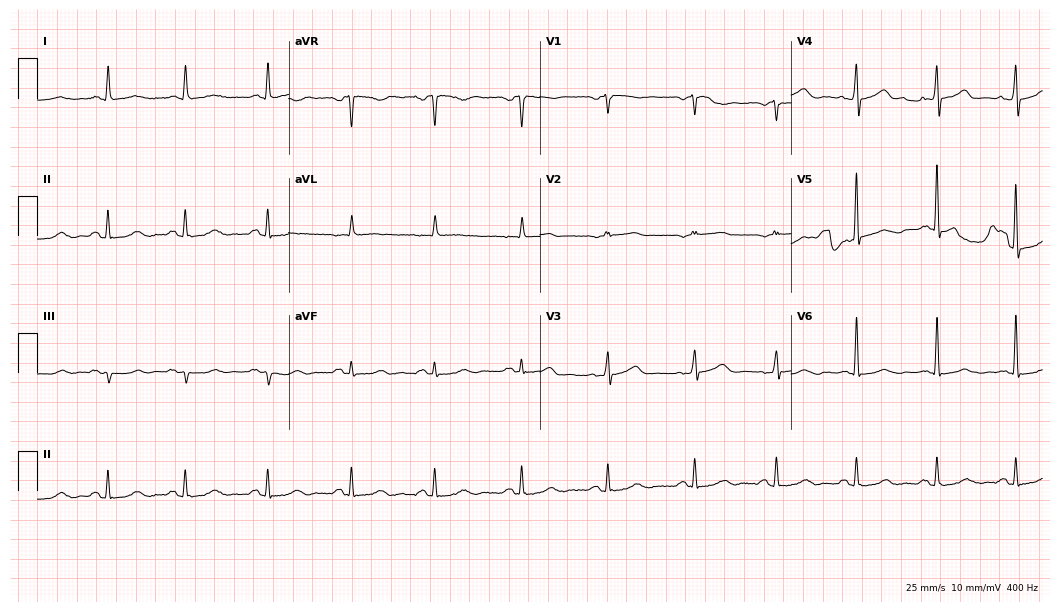
Electrocardiogram, a female, 80 years old. Overall reading on record: normal ECG.